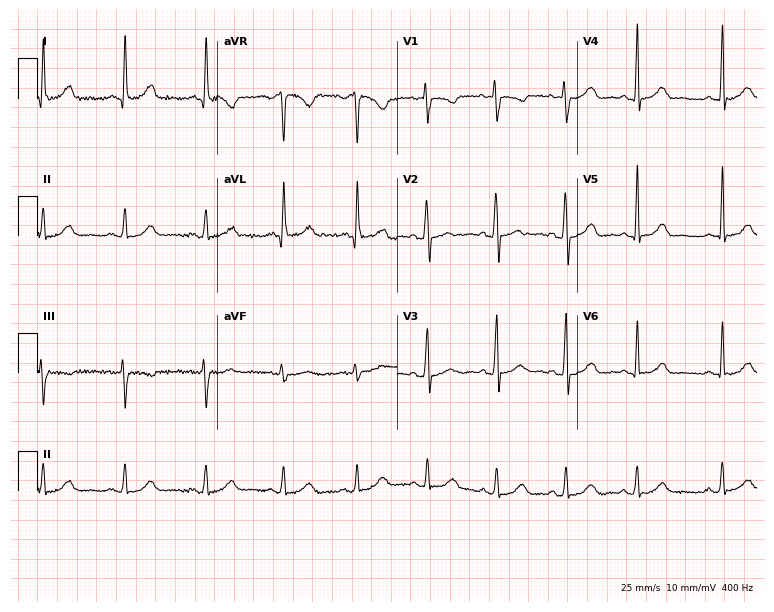
Resting 12-lead electrocardiogram. Patient: a 20-year-old woman. Read as a normal ECG.